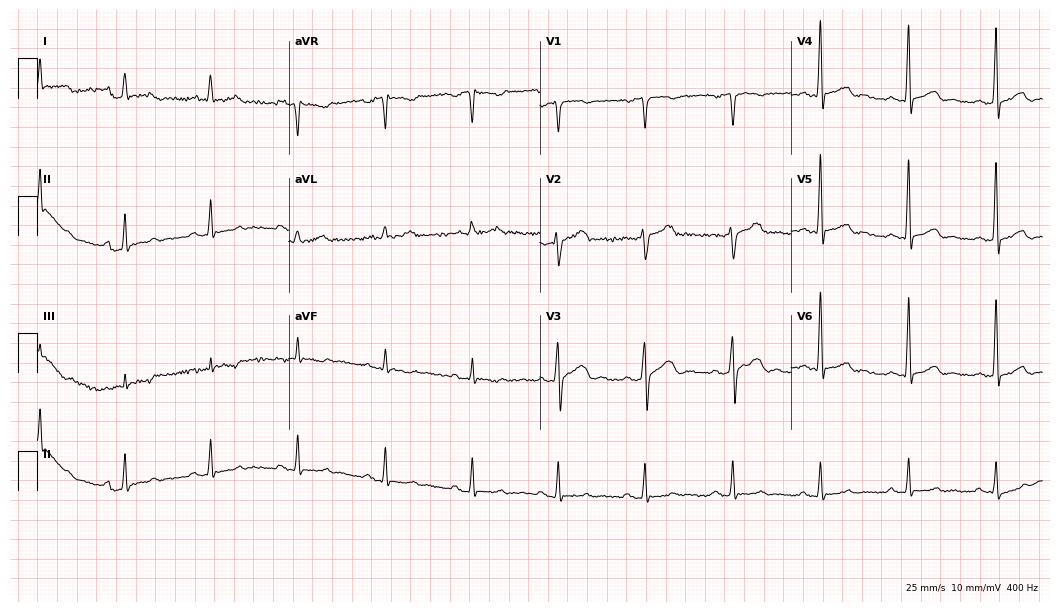
Standard 12-lead ECG recorded from a male patient, 41 years old. Read as a normal ECG.